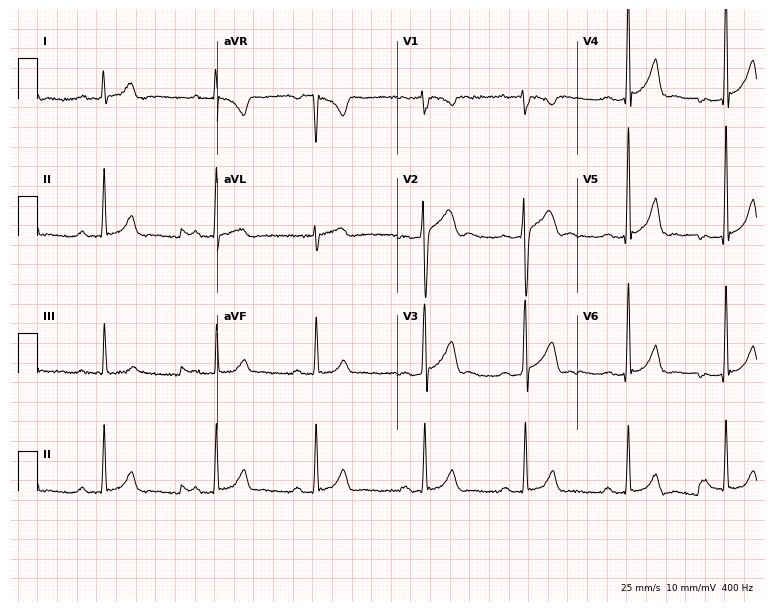
Electrocardiogram, a male patient, 31 years old. Of the six screened findings (first-degree AV block, right bundle branch block, left bundle branch block, sinus bradycardia, atrial fibrillation, sinus tachycardia), none is recorded. Other findings, if any, are not listed.